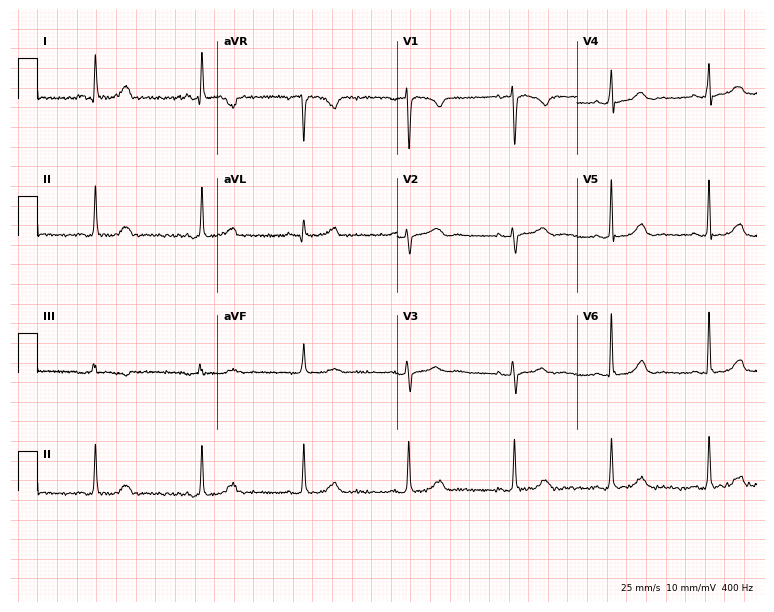
Resting 12-lead electrocardiogram. Patient: a female, 48 years old. None of these six findings is recorded: first-degree AV block, right bundle branch block (RBBB), left bundle branch block (LBBB), sinus bradycardia, atrial fibrillation (AF), sinus tachycardia. Other findings, if any, are not listed.